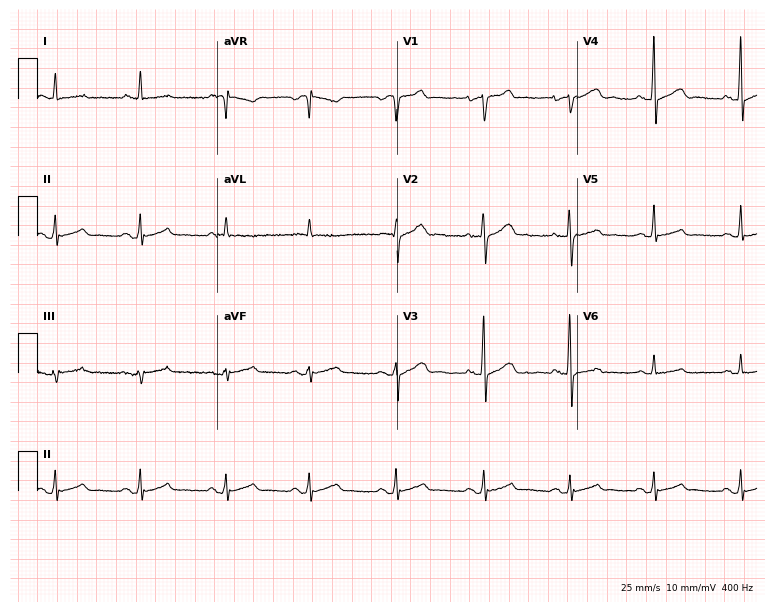
12-lead ECG (7.3-second recording at 400 Hz) from a male, 60 years old. Screened for six findings — first-degree AV block, right bundle branch block, left bundle branch block, sinus bradycardia, atrial fibrillation, sinus tachycardia — none is recorded. Only these six findings were labelled.